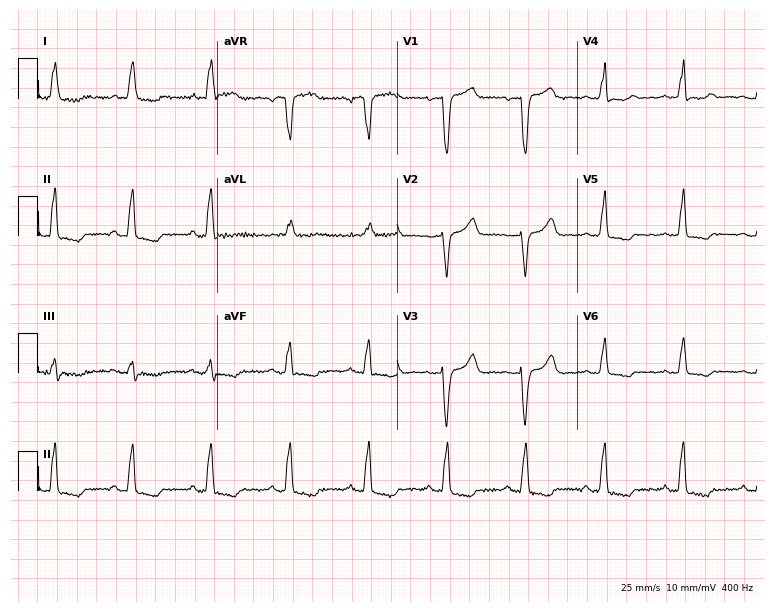
Standard 12-lead ECG recorded from a woman, 75 years old. The tracing shows left bundle branch block (LBBB).